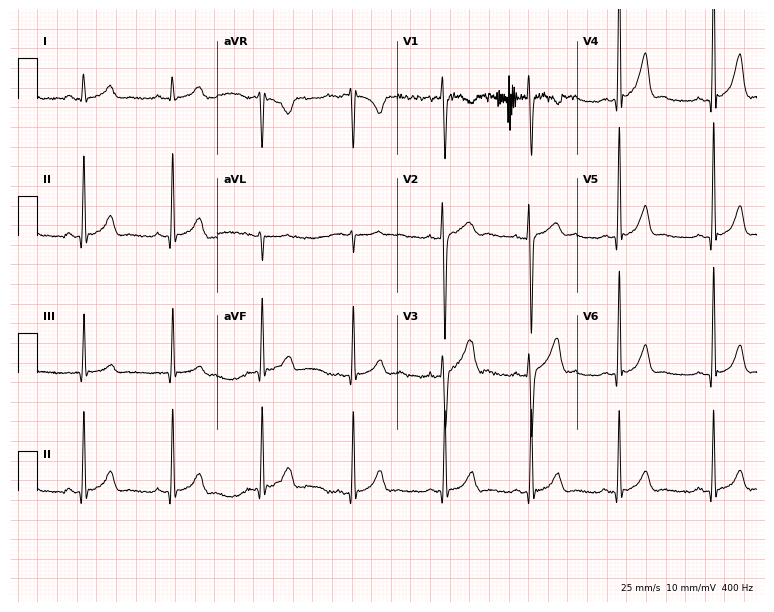
Electrocardiogram, a 22-year-old man. Overall reading on record: normal ECG.